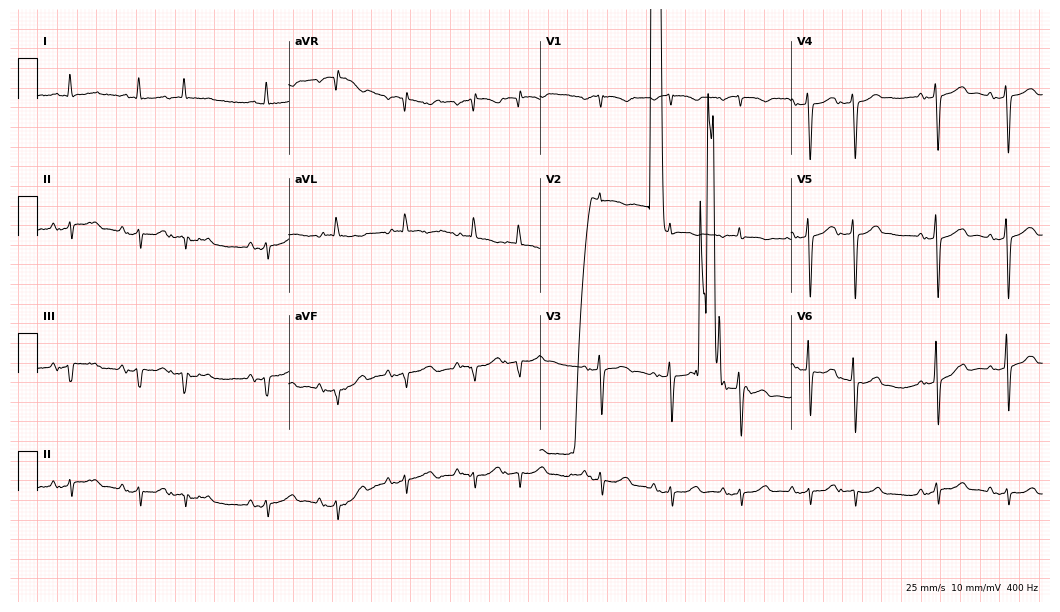
Electrocardiogram, an 84-year-old woman. Of the six screened findings (first-degree AV block, right bundle branch block, left bundle branch block, sinus bradycardia, atrial fibrillation, sinus tachycardia), none is recorded. Other findings, if any, are not listed.